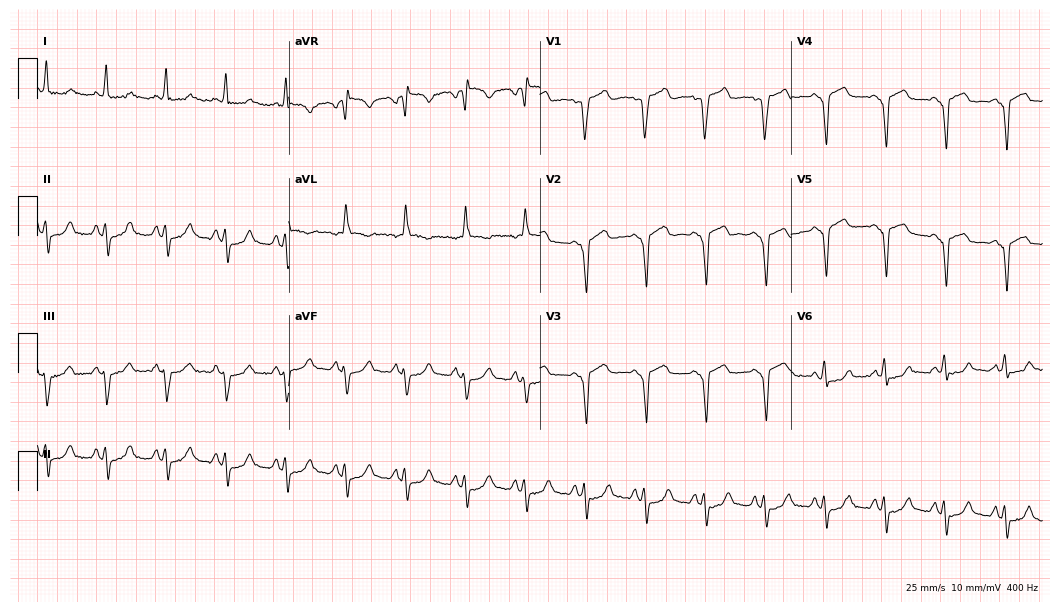
Electrocardiogram, a 48-year-old man. Of the six screened findings (first-degree AV block, right bundle branch block, left bundle branch block, sinus bradycardia, atrial fibrillation, sinus tachycardia), none is recorded. Findings outside these six are not listed.